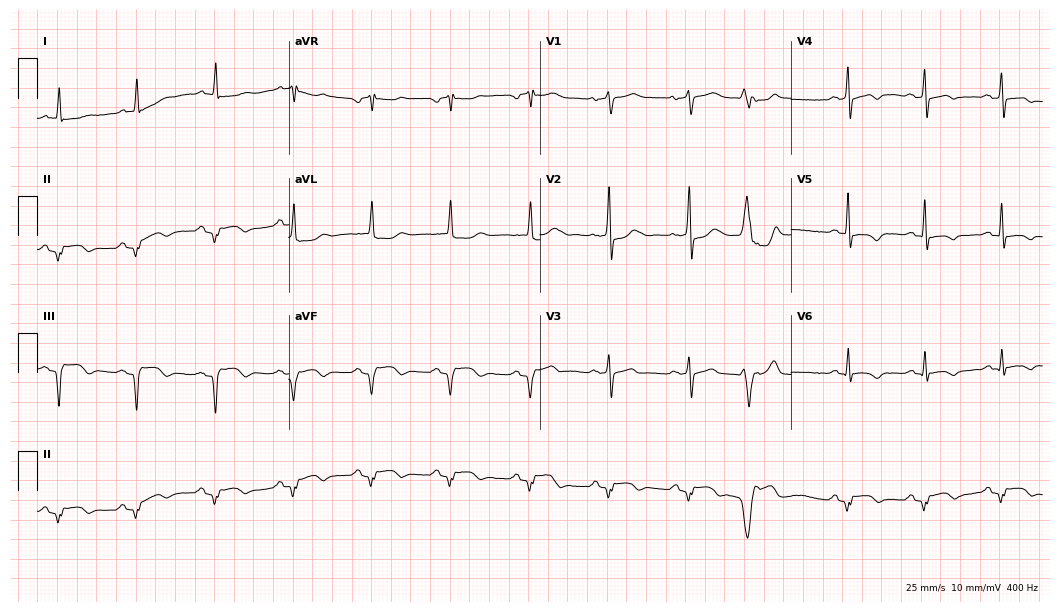
12-lead ECG from a 76-year-old man (10.2-second recording at 400 Hz). No first-degree AV block, right bundle branch block (RBBB), left bundle branch block (LBBB), sinus bradycardia, atrial fibrillation (AF) or sinus tachycardia recorded for this tracing. Only these six findings were labelled.